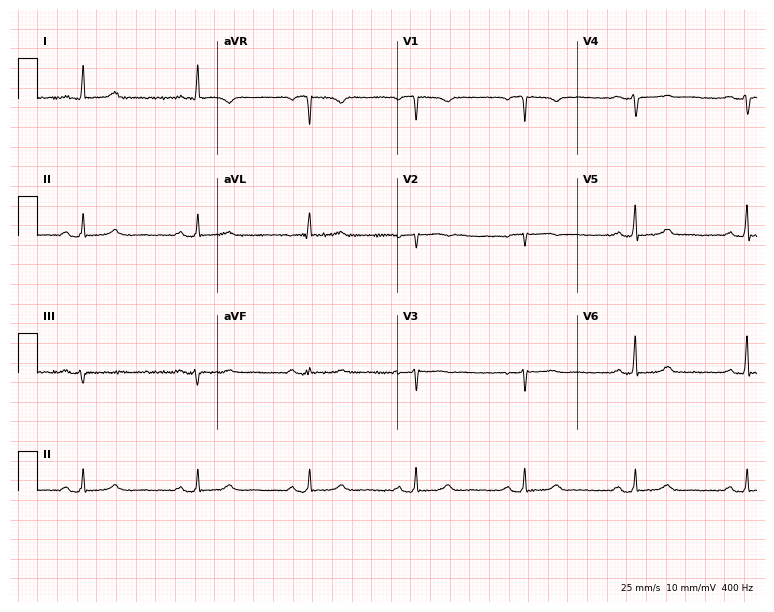
Electrocardiogram, a 57-year-old female patient. Overall reading on record: normal ECG.